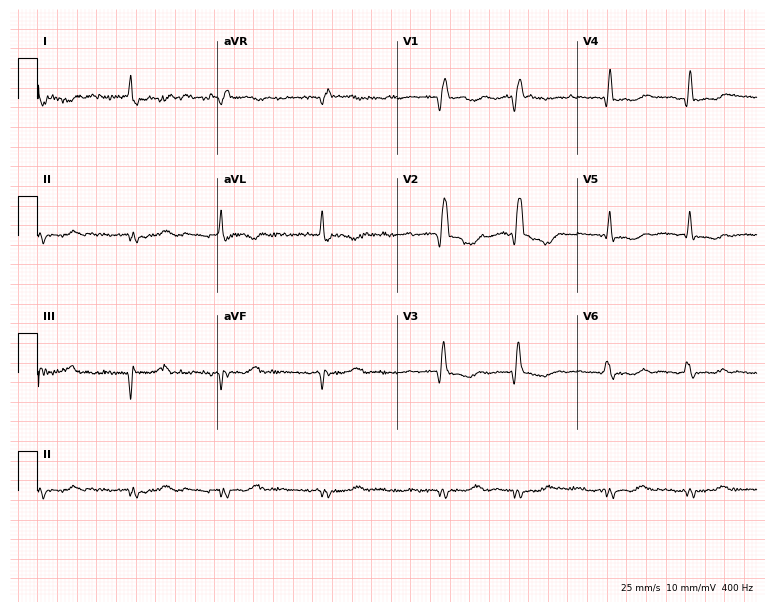
Resting 12-lead electrocardiogram. Patient: a 69-year-old female. None of these six findings is recorded: first-degree AV block, right bundle branch block, left bundle branch block, sinus bradycardia, atrial fibrillation, sinus tachycardia. Findings outside these six are not listed.